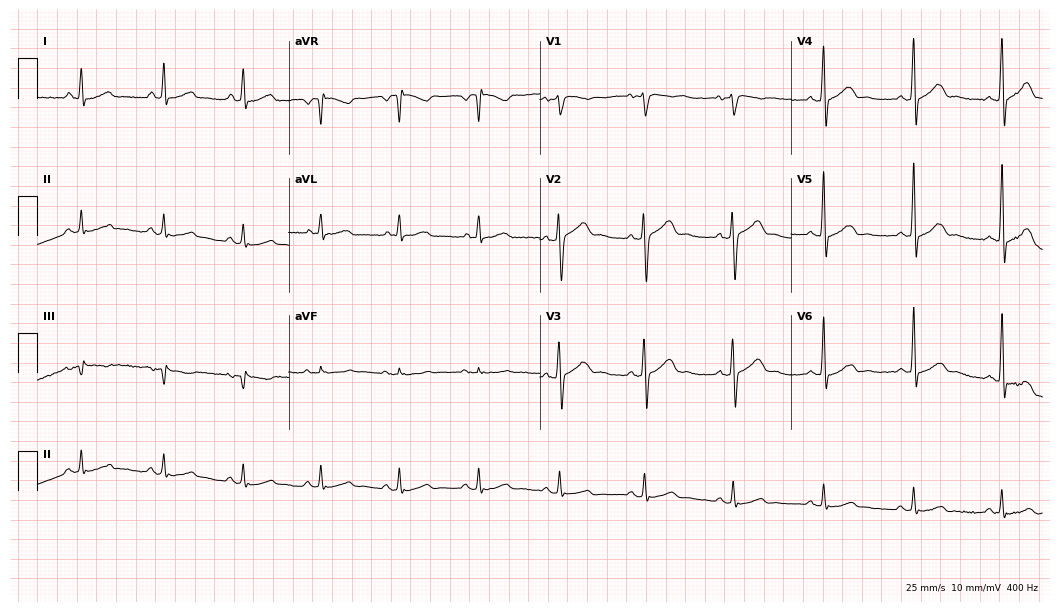
Resting 12-lead electrocardiogram. Patient: a man, 60 years old. Read as a normal ECG.